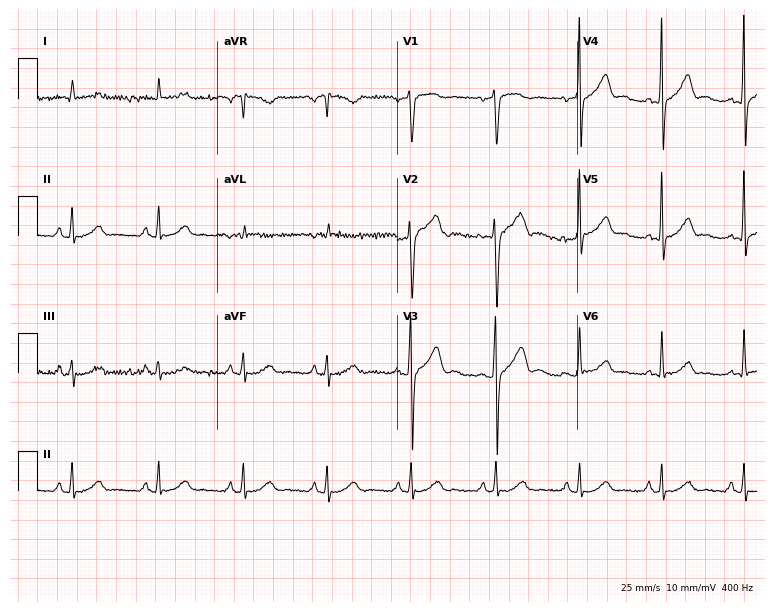
12-lead ECG (7.3-second recording at 400 Hz) from a man, 43 years old. Screened for six findings — first-degree AV block, right bundle branch block, left bundle branch block, sinus bradycardia, atrial fibrillation, sinus tachycardia — none is recorded.